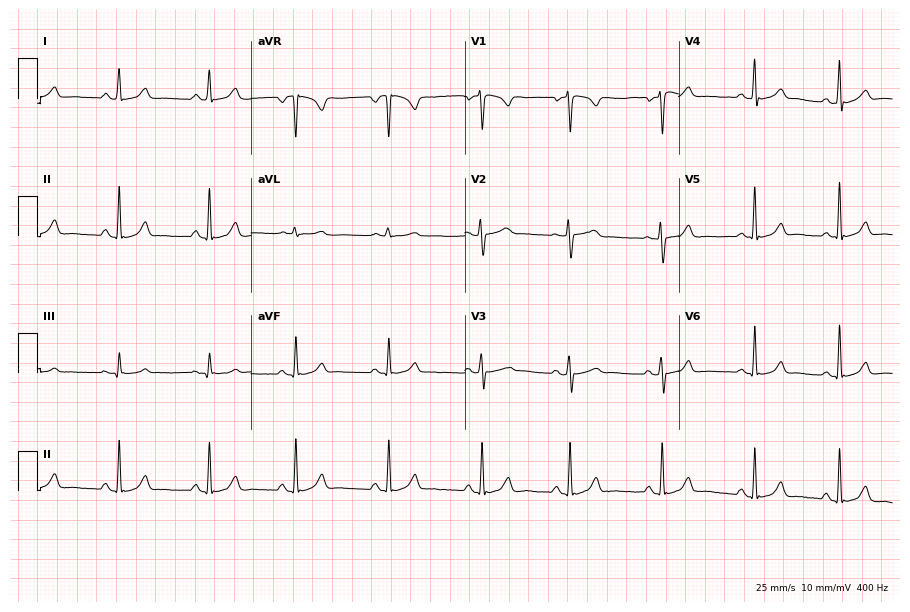
12-lead ECG from a 28-year-old female patient. Labelled as a normal ECG.